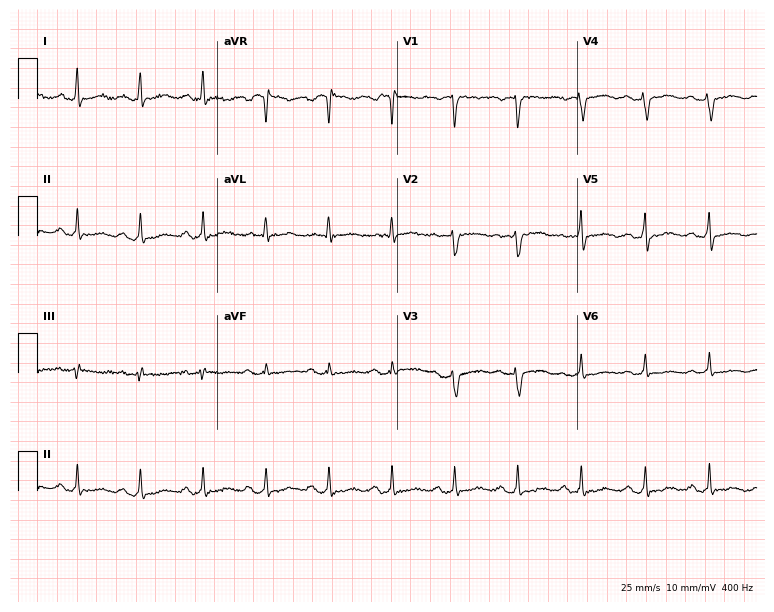
12-lead ECG from a 50-year-old female patient. Labelled as a normal ECG.